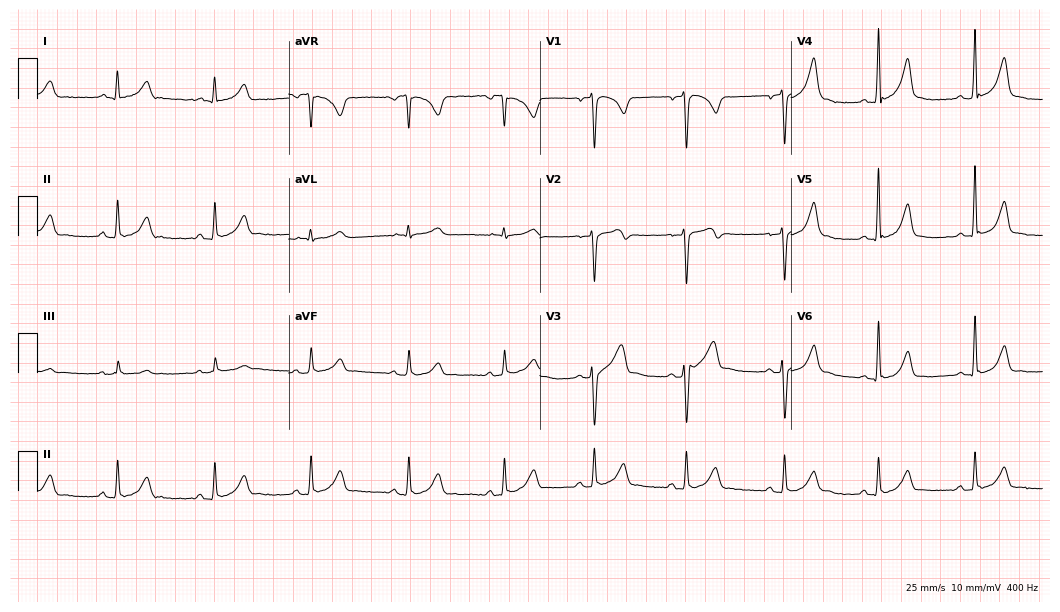
Resting 12-lead electrocardiogram (10.2-second recording at 400 Hz). Patient: a man, 22 years old. Read as a normal ECG.